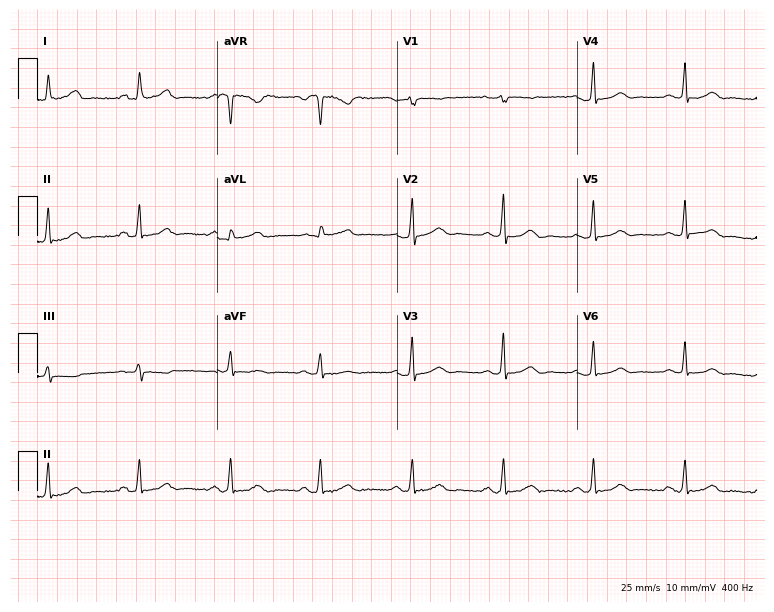
Standard 12-lead ECG recorded from a 53-year-old female patient. None of these six findings is recorded: first-degree AV block, right bundle branch block (RBBB), left bundle branch block (LBBB), sinus bradycardia, atrial fibrillation (AF), sinus tachycardia. Other findings, if any, are not listed.